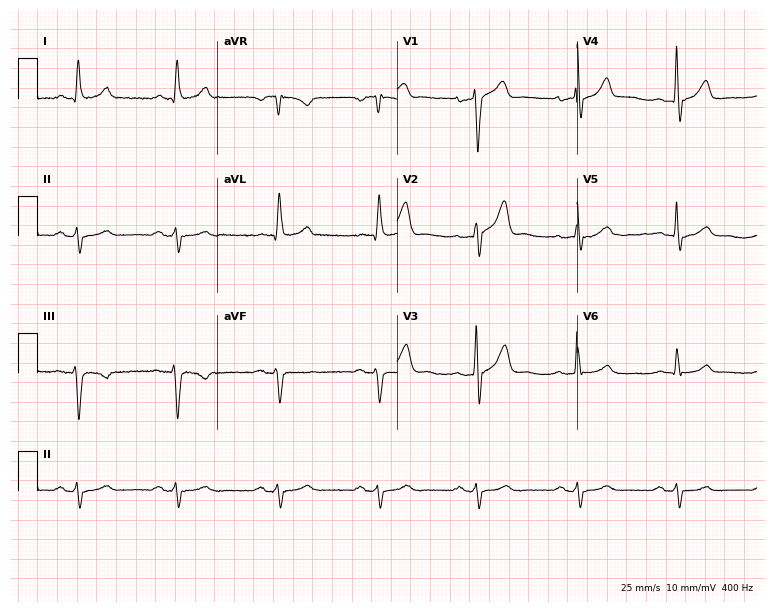
12-lead ECG from a male, 78 years old. No first-degree AV block, right bundle branch block (RBBB), left bundle branch block (LBBB), sinus bradycardia, atrial fibrillation (AF) or sinus tachycardia recorded for this tracing. Only these six findings were labelled.